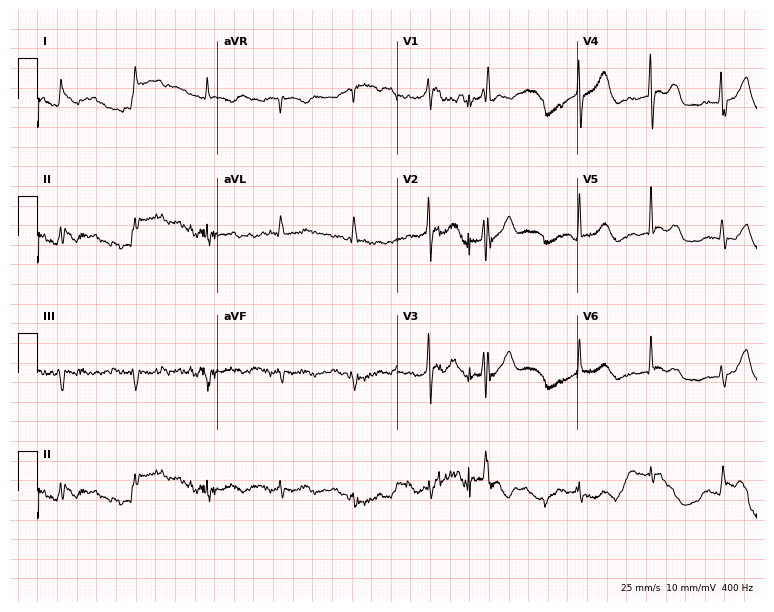
12-lead ECG from an 85-year-old woman. No first-degree AV block, right bundle branch block (RBBB), left bundle branch block (LBBB), sinus bradycardia, atrial fibrillation (AF) or sinus tachycardia recorded for this tracing. Other findings, if any, are not listed.